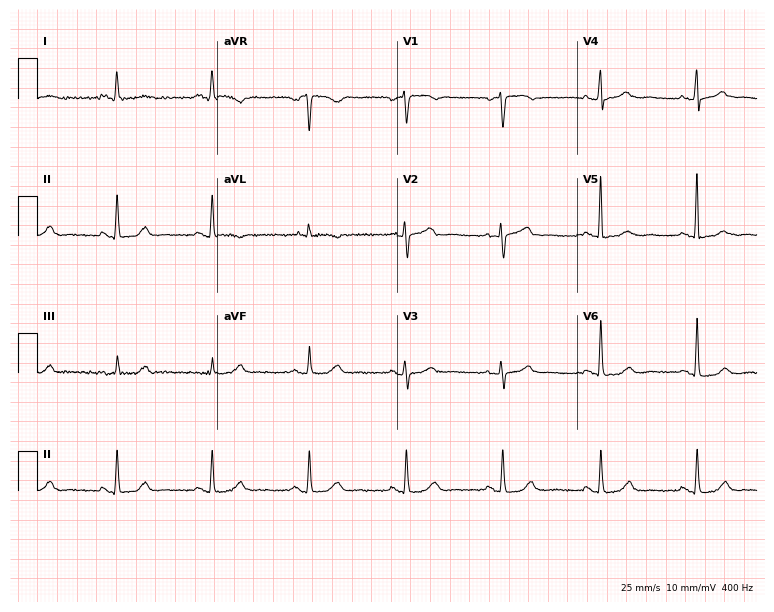
Electrocardiogram (7.3-second recording at 400 Hz), a female, 72 years old. Overall reading on record: normal ECG.